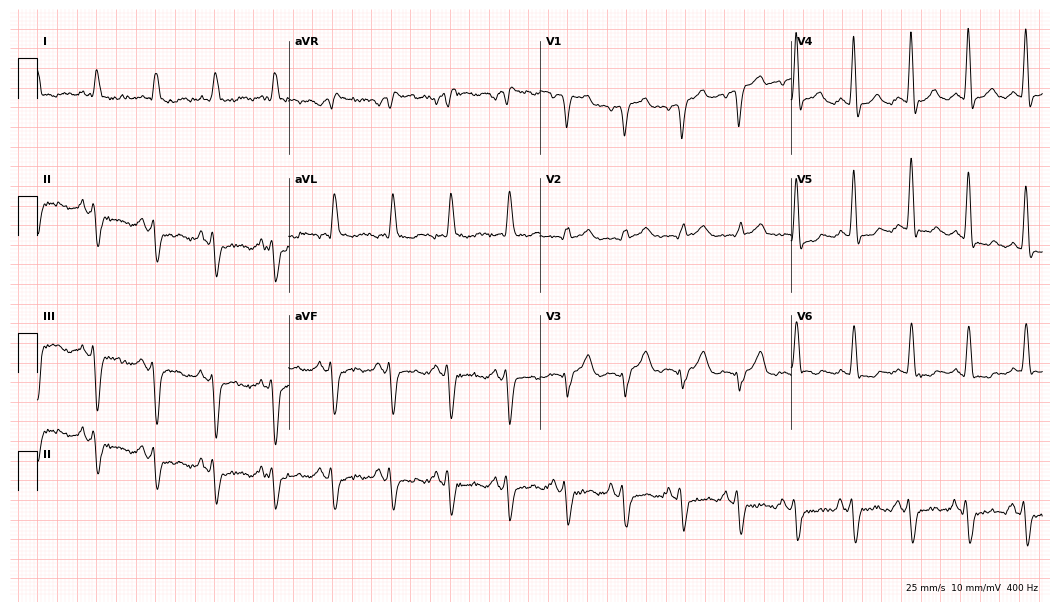
12-lead ECG from an 83-year-old female patient. Shows sinus tachycardia (a sinus rate of 100 beats per minute or more).